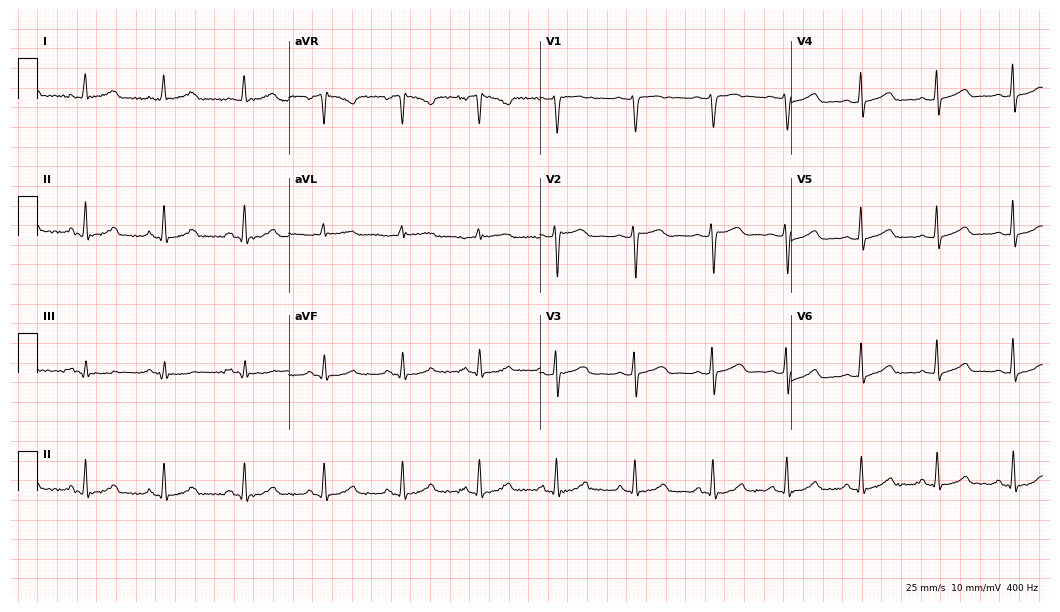
12-lead ECG (10.2-second recording at 400 Hz) from a 57-year-old woman. Labelled as a normal ECG.